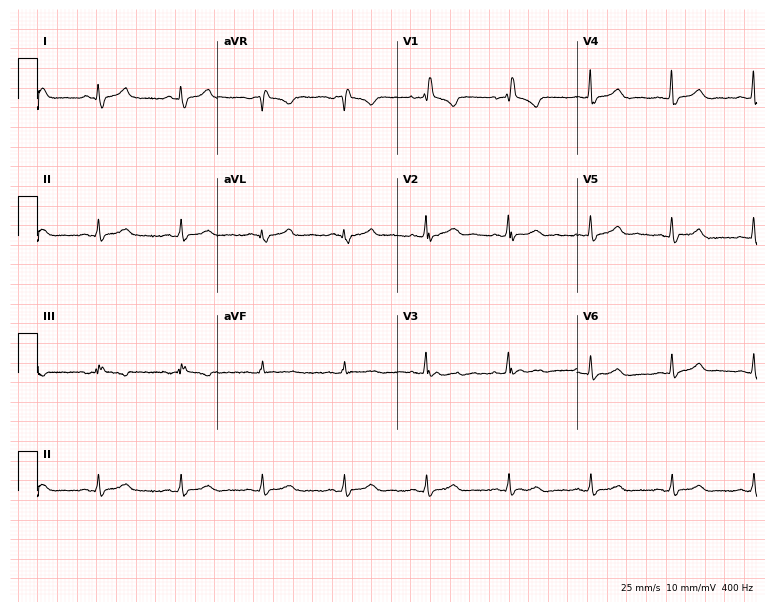
Standard 12-lead ECG recorded from a female, 52 years old. None of these six findings is recorded: first-degree AV block, right bundle branch block, left bundle branch block, sinus bradycardia, atrial fibrillation, sinus tachycardia.